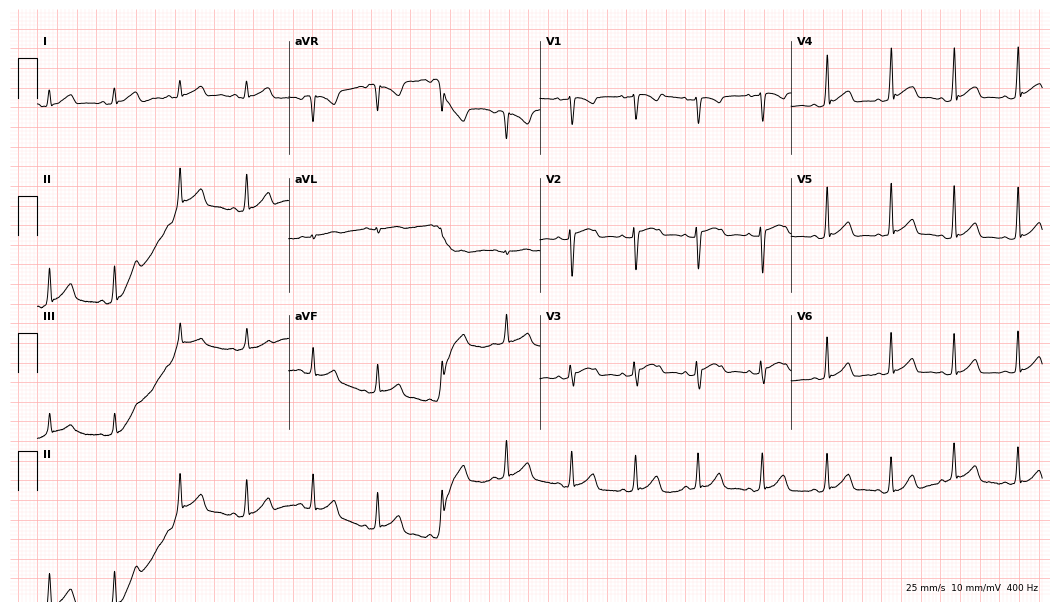
ECG (10.2-second recording at 400 Hz) — a 19-year-old female patient. Labelled as a normal ECG.